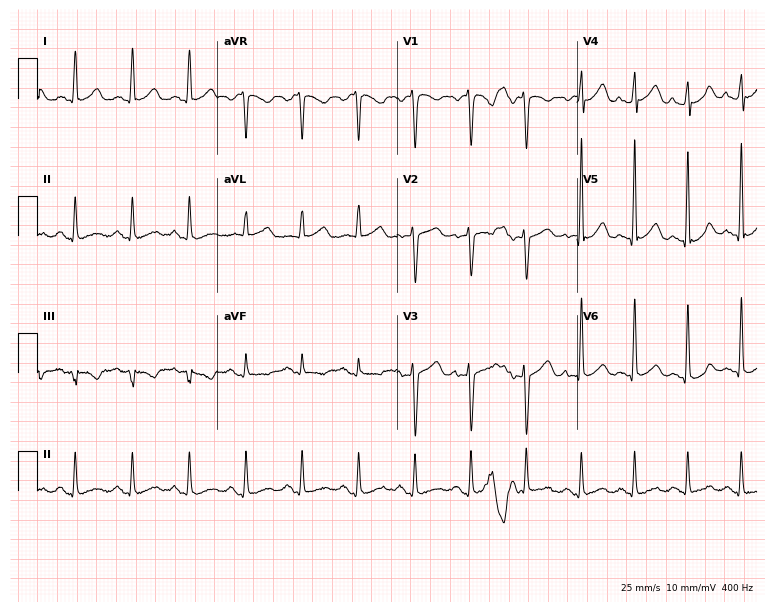
12-lead ECG from a female patient, 44 years old (7.3-second recording at 400 Hz). Shows sinus tachycardia (a sinus rate of 100 beats per minute or more).